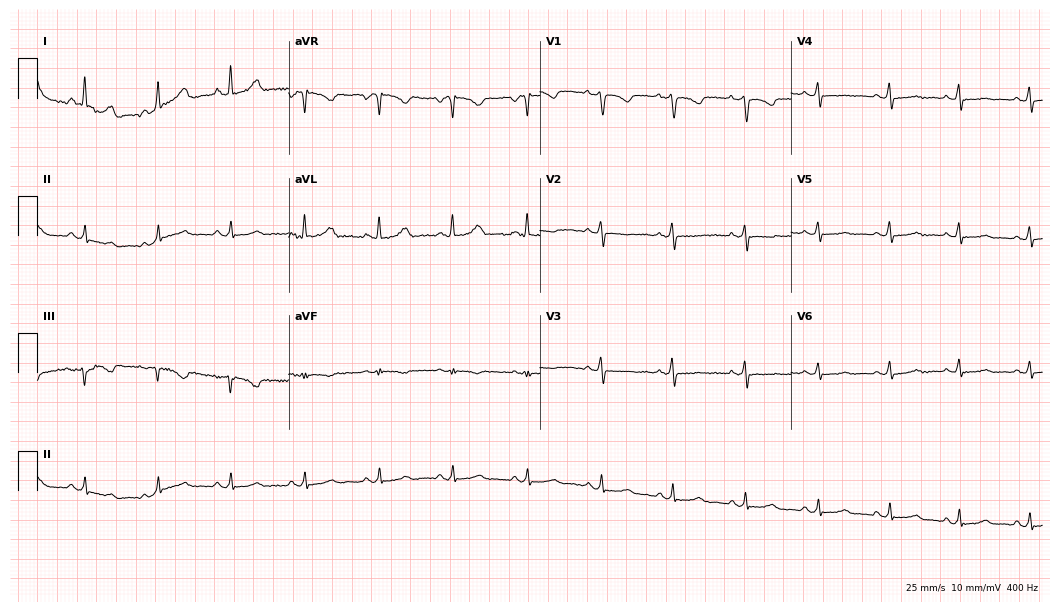
Resting 12-lead electrocardiogram. Patient: a 42-year-old female. None of these six findings is recorded: first-degree AV block, right bundle branch block, left bundle branch block, sinus bradycardia, atrial fibrillation, sinus tachycardia.